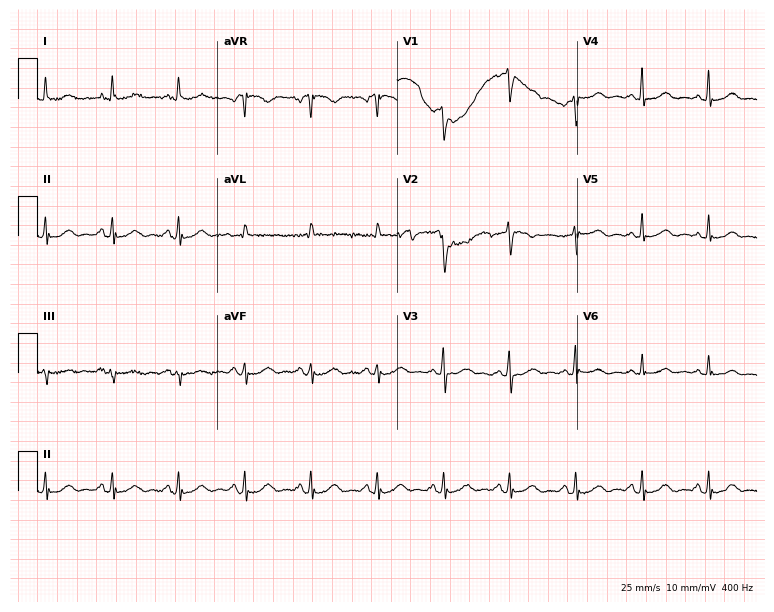
Resting 12-lead electrocardiogram (7.3-second recording at 400 Hz). Patient: a 53-year-old woman. Read as a normal ECG.